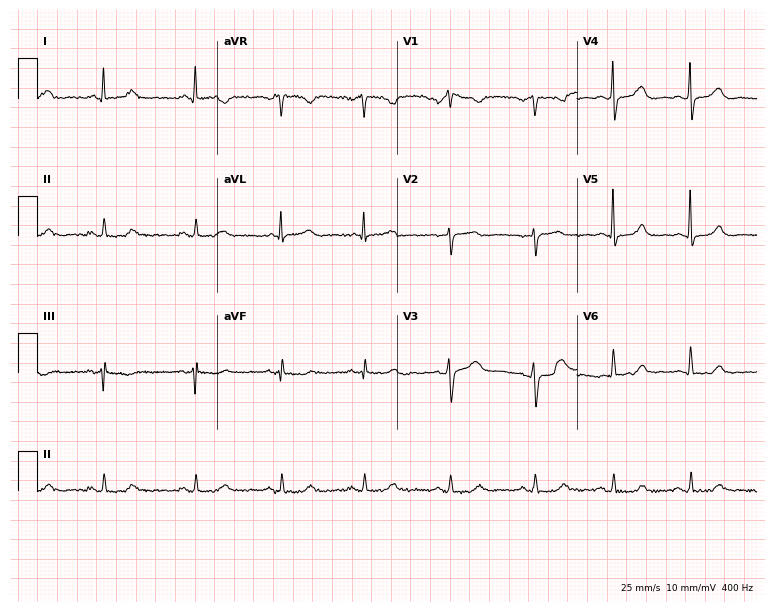
12-lead ECG from a female, 44 years old (7.3-second recording at 400 Hz). Recorded interpretation: within normal limits.